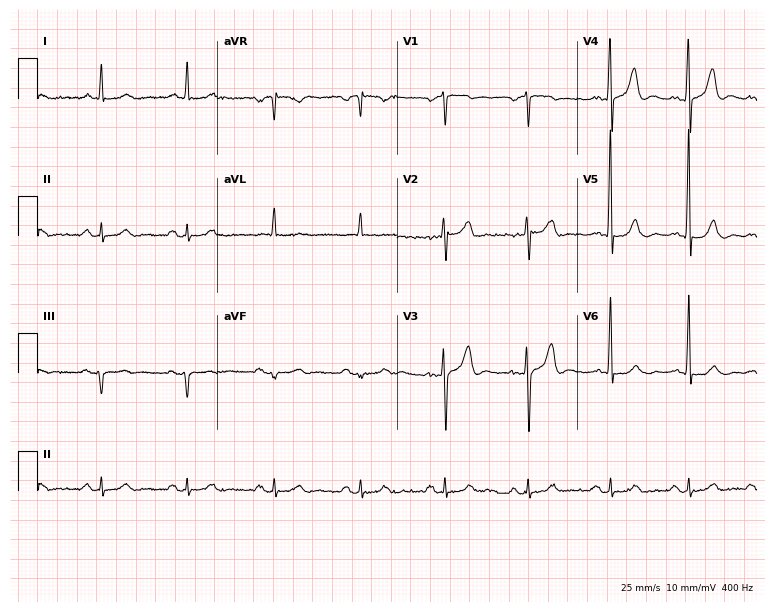
12-lead ECG from a 61-year-old male patient. Labelled as a normal ECG.